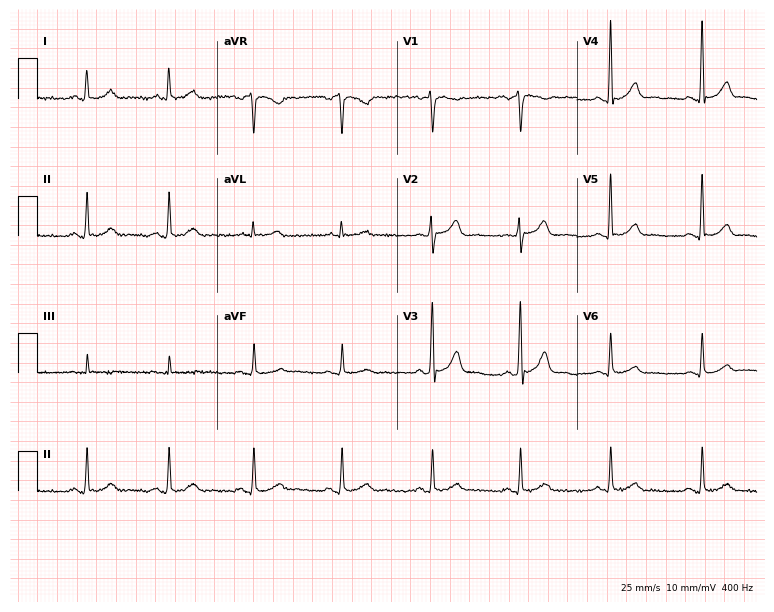
ECG — a male, 52 years old. Screened for six findings — first-degree AV block, right bundle branch block, left bundle branch block, sinus bradycardia, atrial fibrillation, sinus tachycardia — none is recorded. Findings outside these six are not listed.